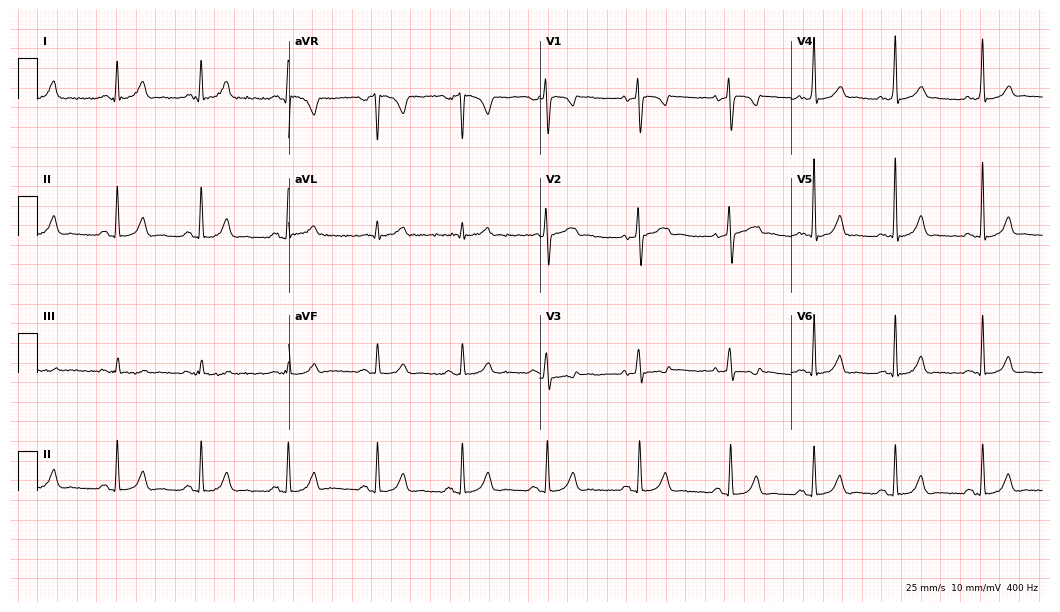
ECG (10.2-second recording at 400 Hz) — a woman, 35 years old. Labelled as a normal ECG.